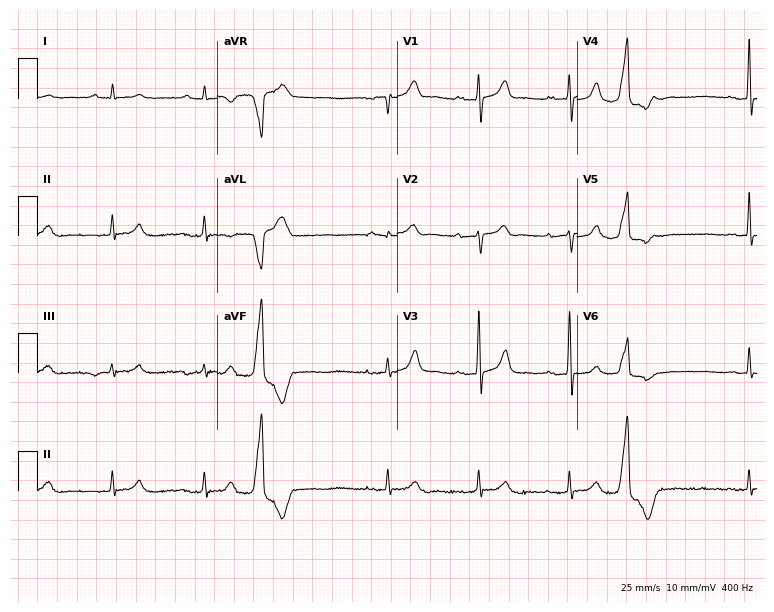
Resting 12-lead electrocardiogram. Patient: an 83-year-old male. None of these six findings is recorded: first-degree AV block, right bundle branch block, left bundle branch block, sinus bradycardia, atrial fibrillation, sinus tachycardia. Findings outside these six are not listed.